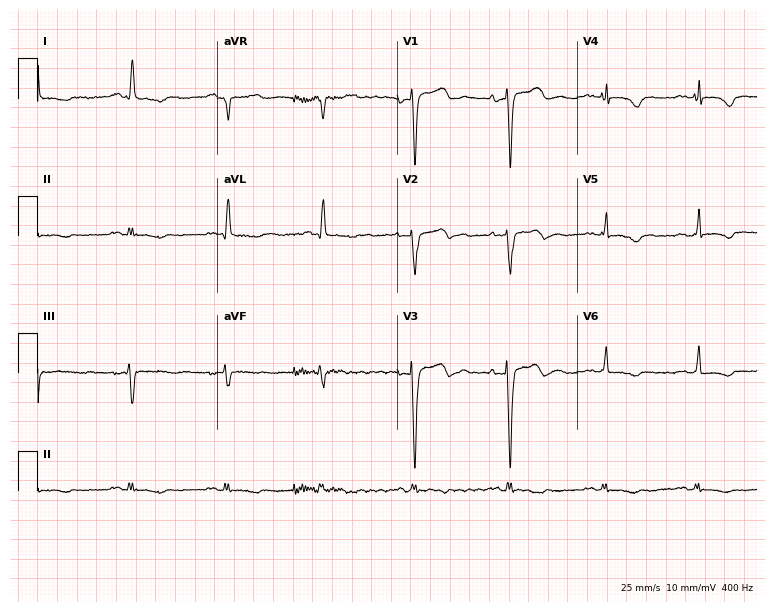
12-lead ECG from a 71-year-old female patient. Screened for six findings — first-degree AV block, right bundle branch block, left bundle branch block, sinus bradycardia, atrial fibrillation, sinus tachycardia — none is recorded.